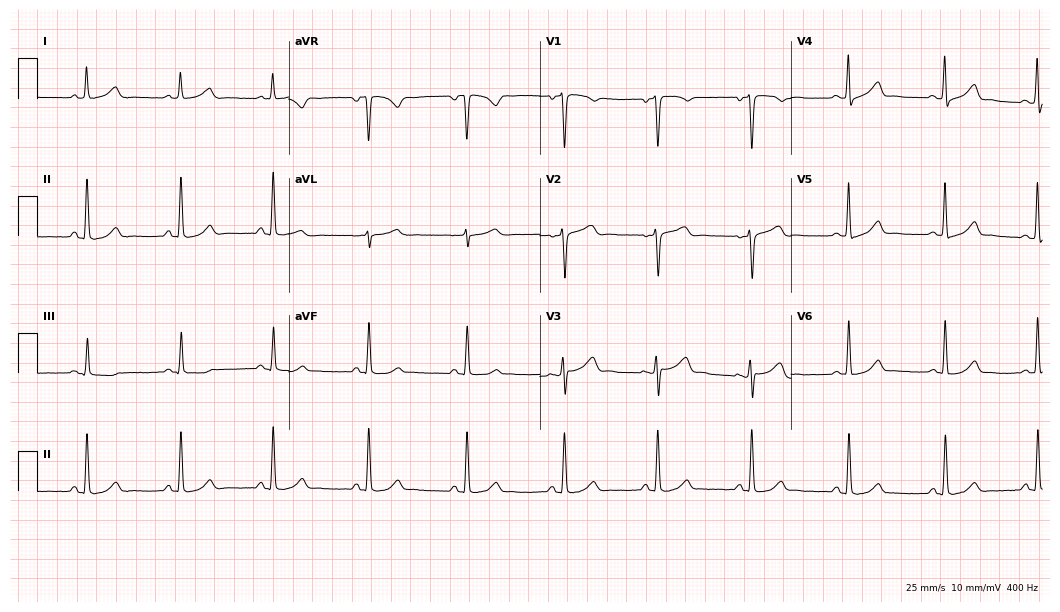
12-lead ECG from a woman, 49 years old. Labelled as a normal ECG.